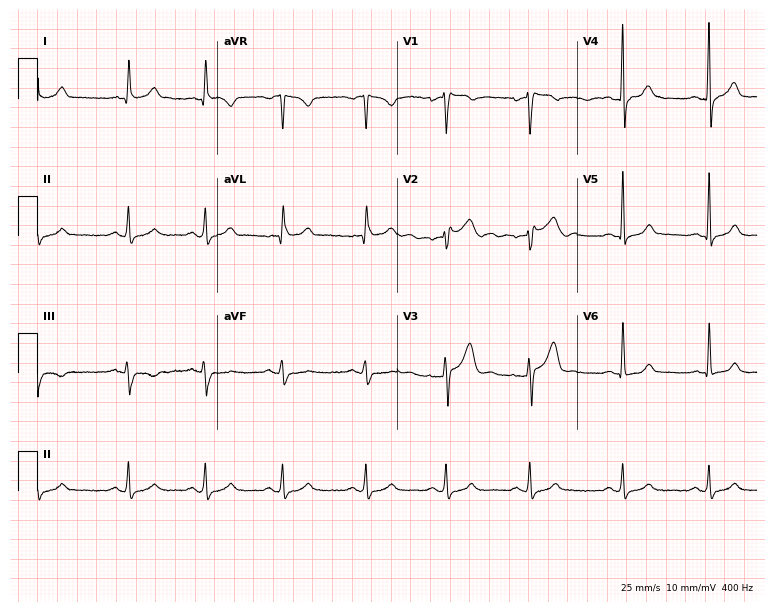
ECG — a man, 33 years old. Labelled as a normal ECG.